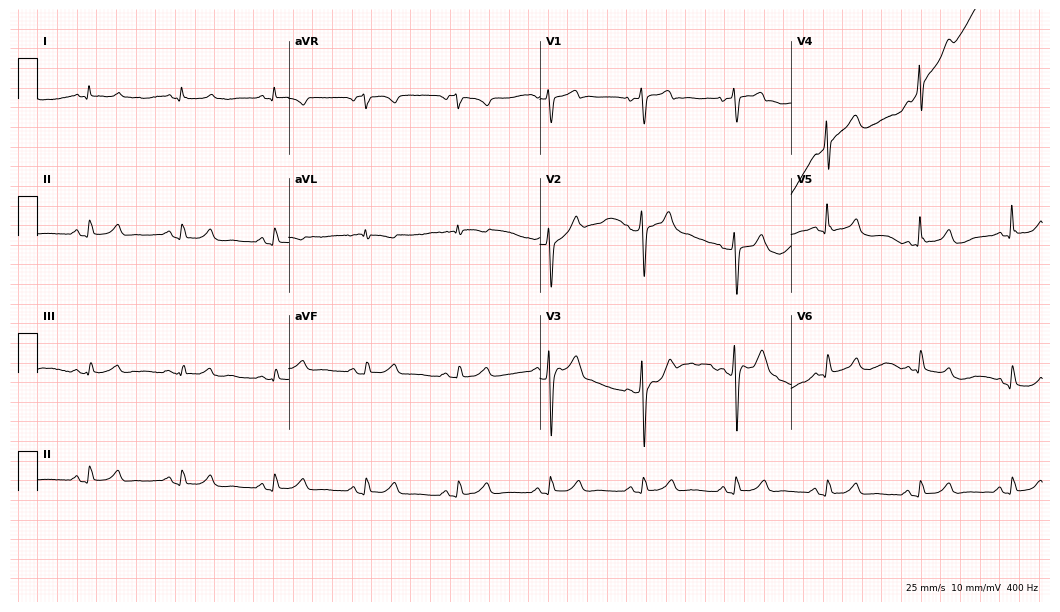
Standard 12-lead ECG recorded from a 65-year-old man. None of these six findings is recorded: first-degree AV block, right bundle branch block (RBBB), left bundle branch block (LBBB), sinus bradycardia, atrial fibrillation (AF), sinus tachycardia.